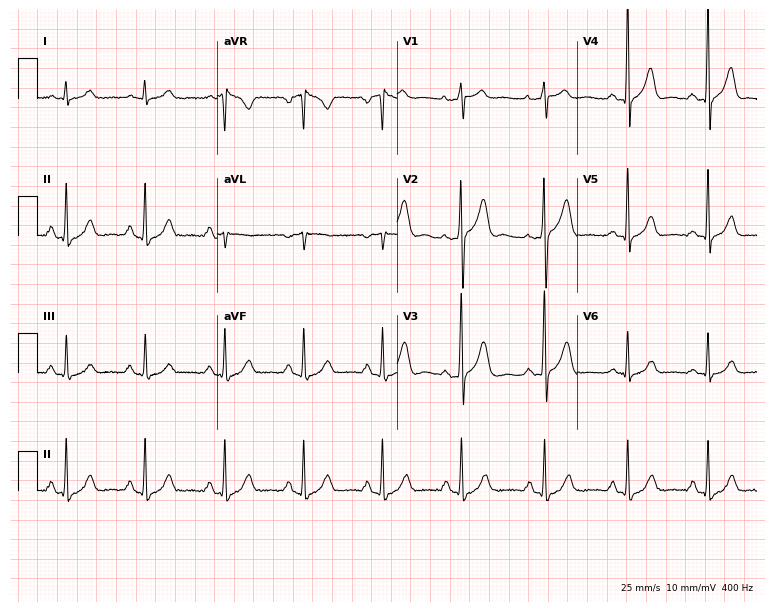
ECG (7.3-second recording at 400 Hz) — a 38-year-old male. Labelled as a normal ECG.